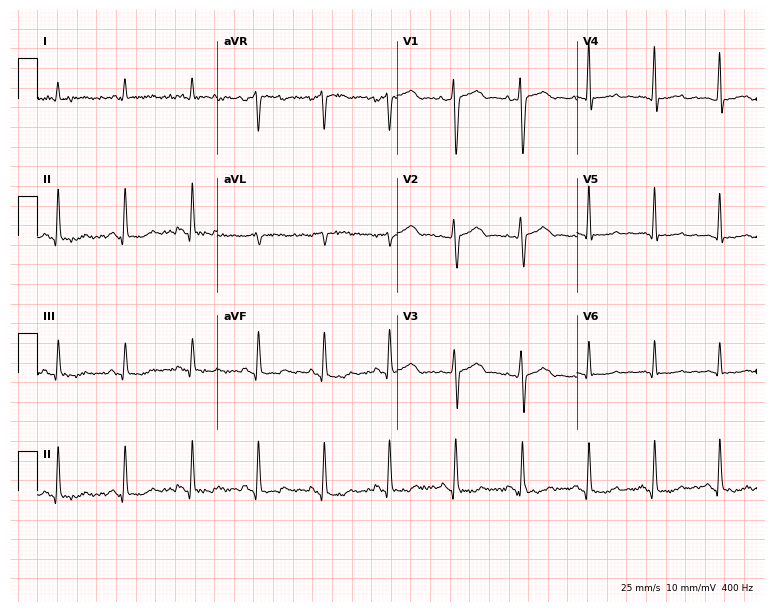
Standard 12-lead ECG recorded from a male, 55 years old (7.3-second recording at 400 Hz). None of these six findings is recorded: first-degree AV block, right bundle branch block, left bundle branch block, sinus bradycardia, atrial fibrillation, sinus tachycardia. Only these six findings were labelled.